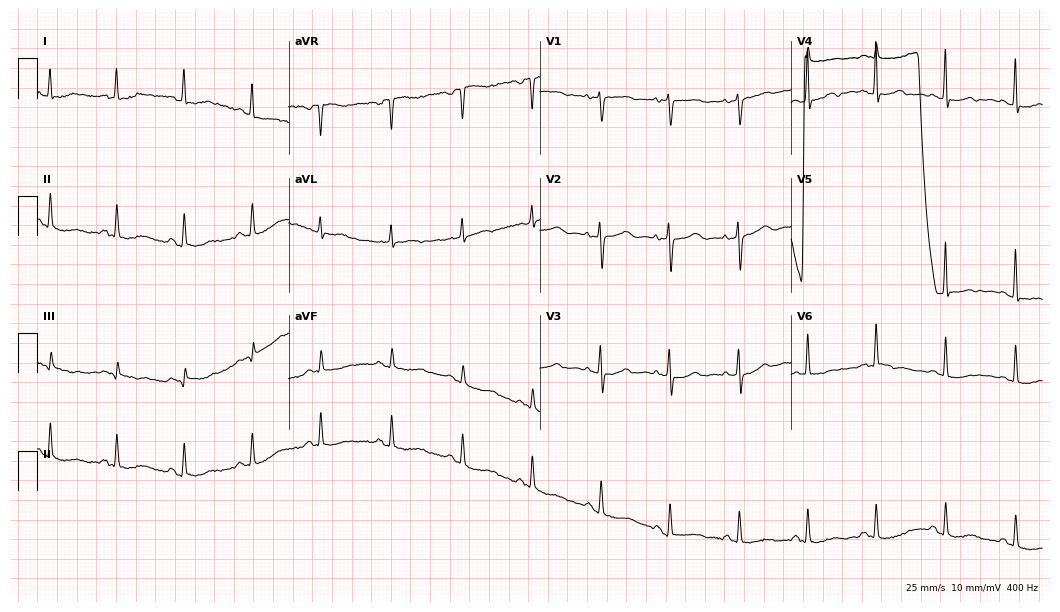
Resting 12-lead electrocardiogram. Patient: a 49-year-old woman. None of these six findings is recorded: first-degree AV block, right bundle branch block, left bundle branch block, sinus bradycardia, atrial fibrillation, sinus tachycardia.